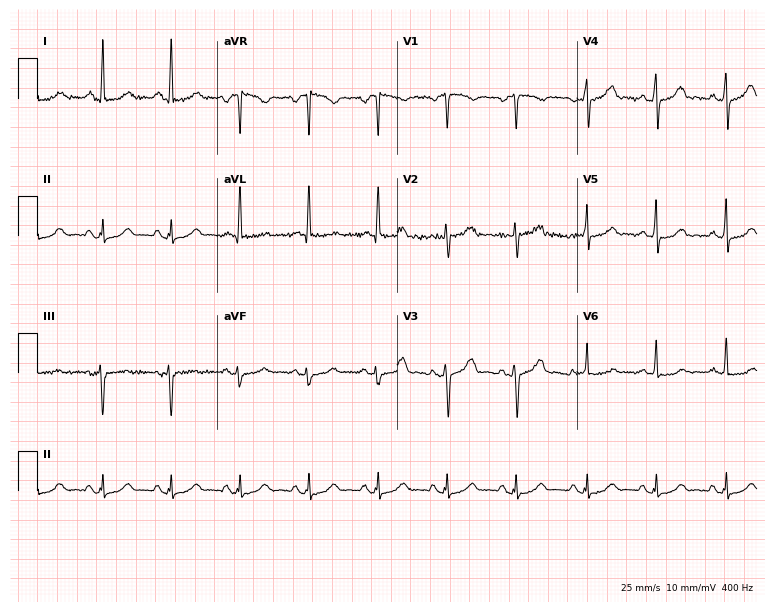
12-lead ECG from a 52-year-old female (7.3-second recording at 400 Hz). No first-degree AV block, right bundle branch block, left bundle branch block, sinus bradycardia, atrial fibrillation or sinus tachycardia recorded for this tracing.